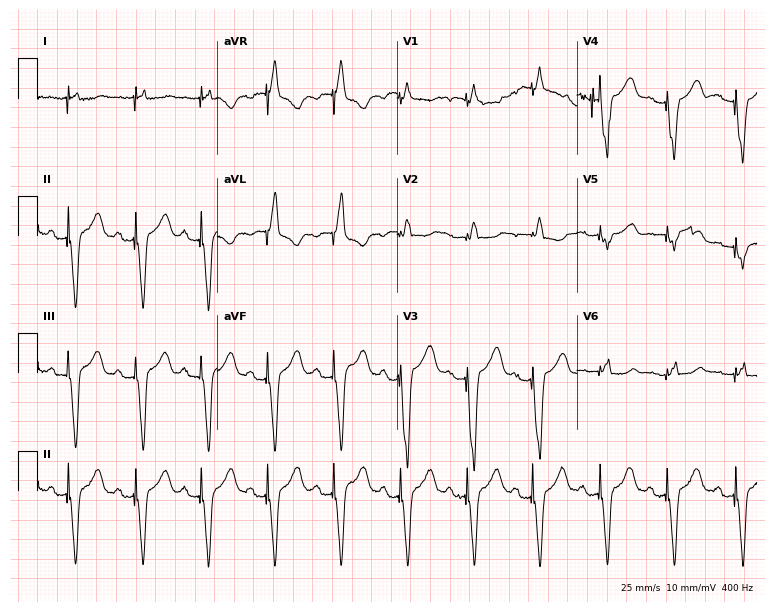
12-lead ECG (7.3-second recording at 400 Hz) from an 84-year-old woman. Screened for six findings — first-degree AV block, right bundle branch block, left bundle branch block, sinus bradycardia, atrial fibrillation, sinus tachycardia — none is recorded.